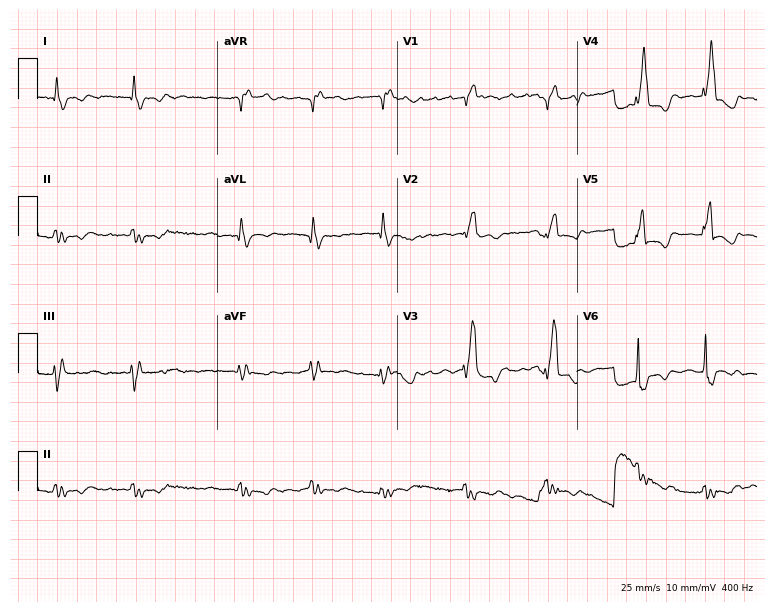
Resting 12-lead electrocardiogram. Patient: a 77-year-old female. The tracing shows atrial fibrillation.